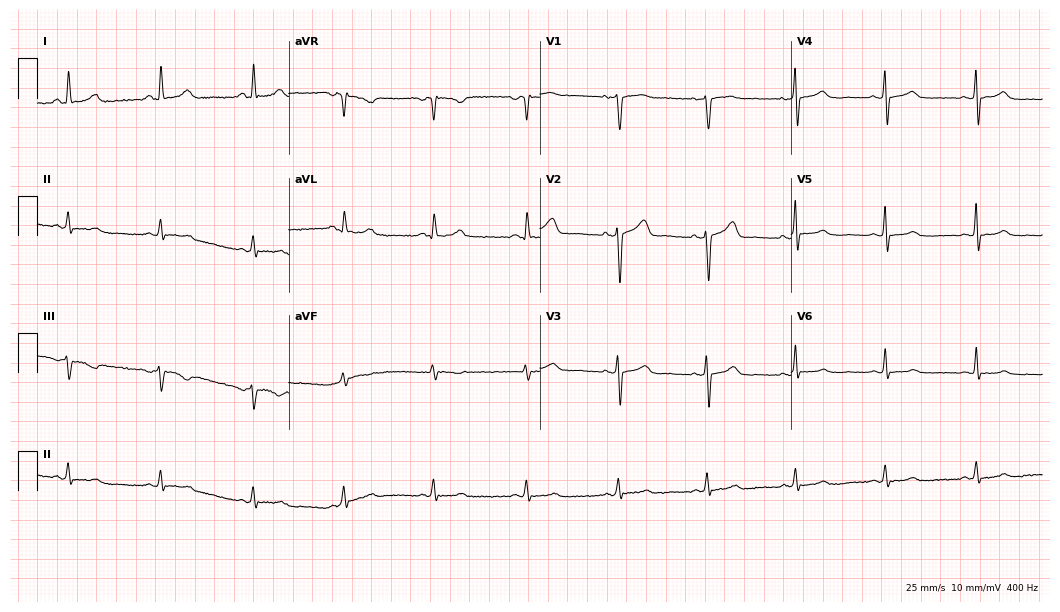
ECG (10.2-second recording at 400 Hz) — a 60-year-old female. Screened for six findings — first-degree AV block, right bundle branch block, left bundle branch block, sinus bradycardia, atrial fibrillation, sinus tachycardia — none is recorded. Findings outside these six are not listed.